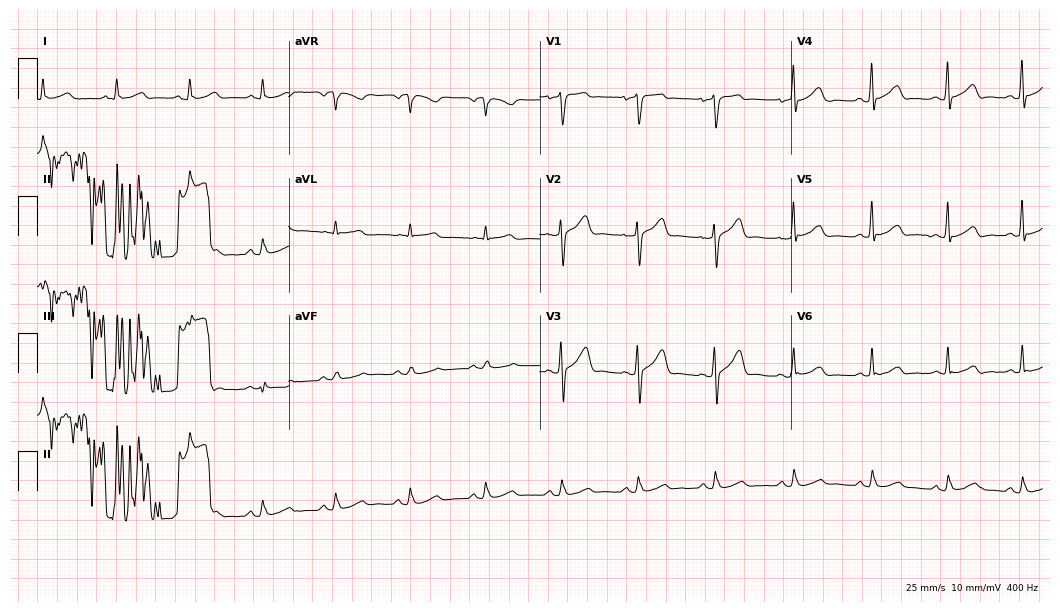
Resting 12-lead electrocardiogram (10.2-second recording at 400 Hz). Patient: a male, 44 years old. Read as a normal ECG.